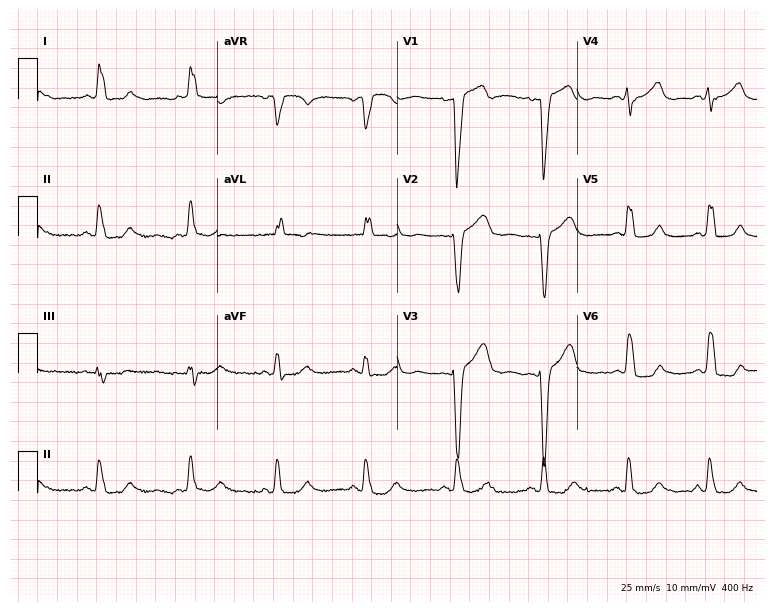
Electrocardiogram, a 54-year-old female. Interpretation includes left bundle branch block.